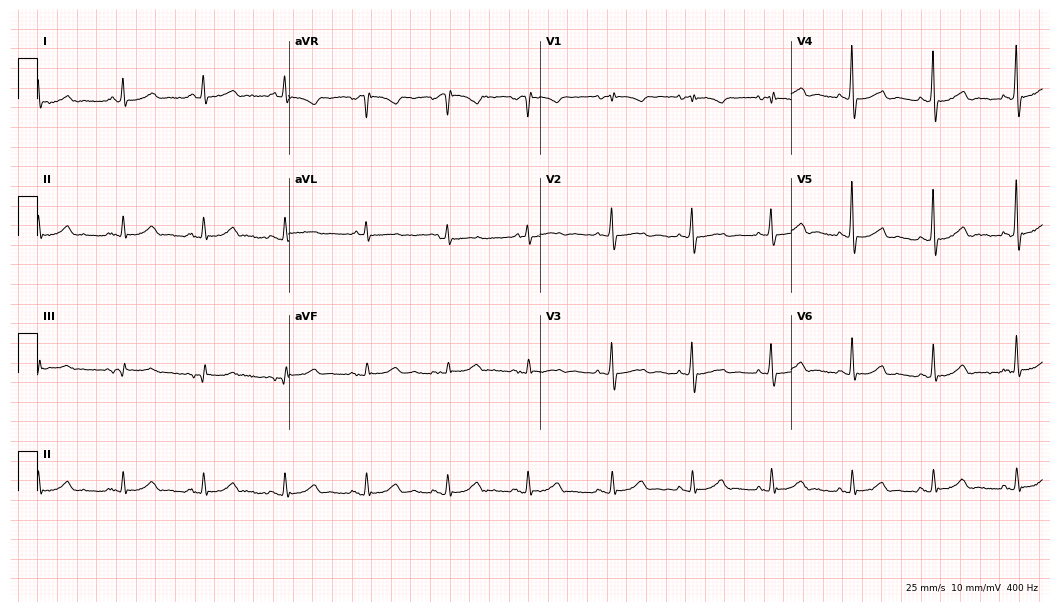
12-lead ECG from a woman, 81 years old. Screened for six findings — first-degree AV block, right bundle branch block, left bundle branch block, sinus bradycardia, atrial fibrillation, sinus tachycardia — none is recorded. Only these six findings were labelled.